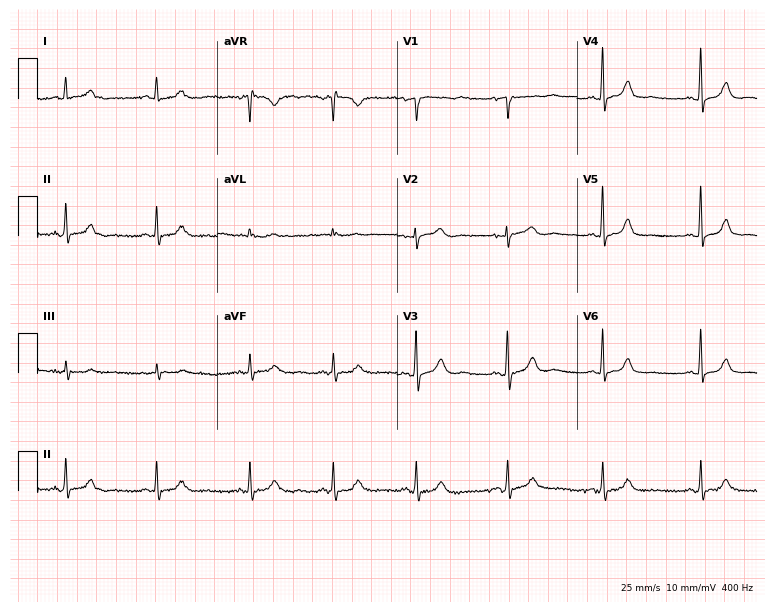
Standard 12-lead ECG recorded from a 37-year-old female patient. None of these six findings is recorded: first-degree AV block, right bundle branch block (RBBB), left bundle branch block (LBBB), sinus bradycardia, atrial fibrillation (AF), sinus tachycardia. Other findings, if any, are not listed.